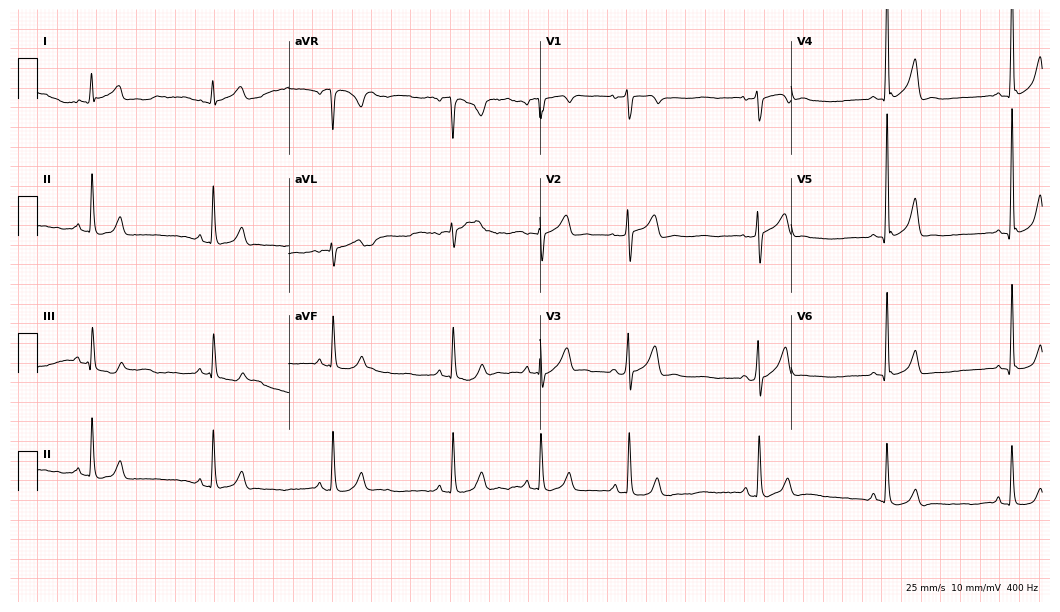
12-lead ECG from a 21-year-old male patient. Recorded interpretation: within normal limits.